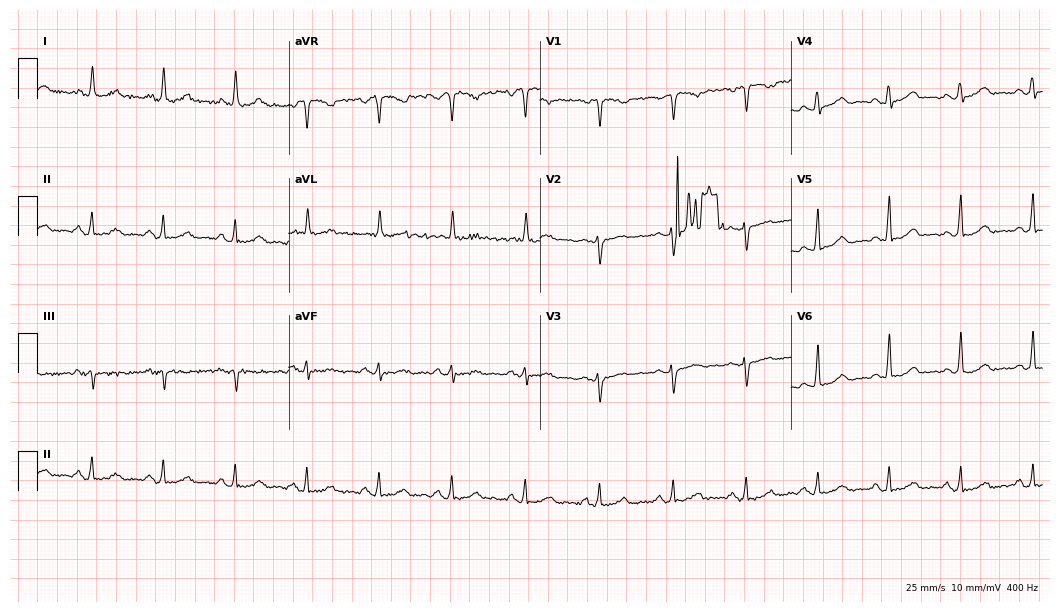
Standard 12-lead ECG recorded from a woman, 50 years old (10.2-second recording at 400 Hz). Read as a normal ECG.